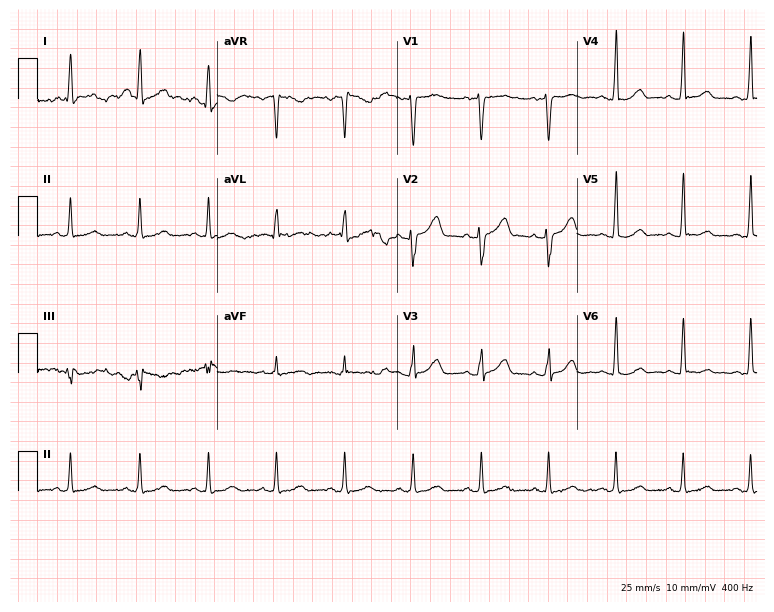
ECG (7.3-second recording at 400 Hz) — a 42-year-old female. Labelled as a normal ECG.